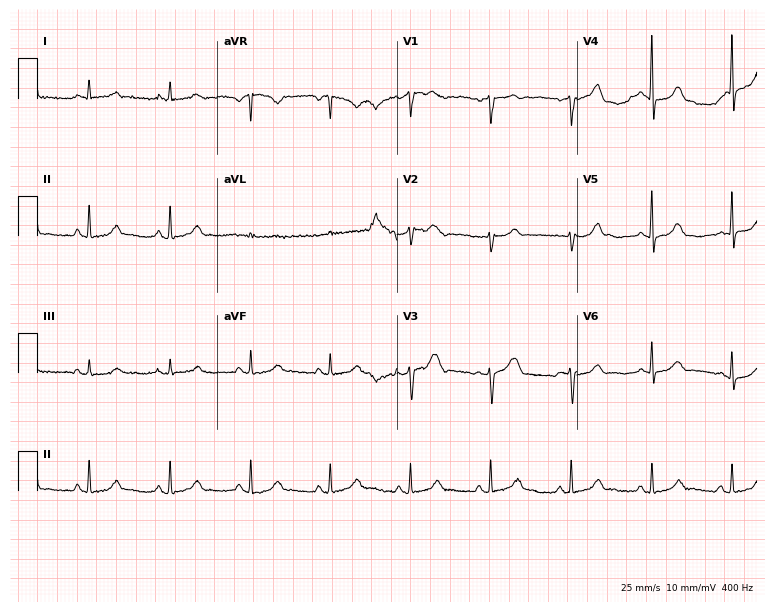
12-lead ECG from a male, 55 years old. Screened for six findings — first-degree AV block, right bundle branch block, left bundle branch block, sinus bradycardia, atrial fibrillation, sinus tachycardia — none is recorded. Other findings, if any, are not listed.